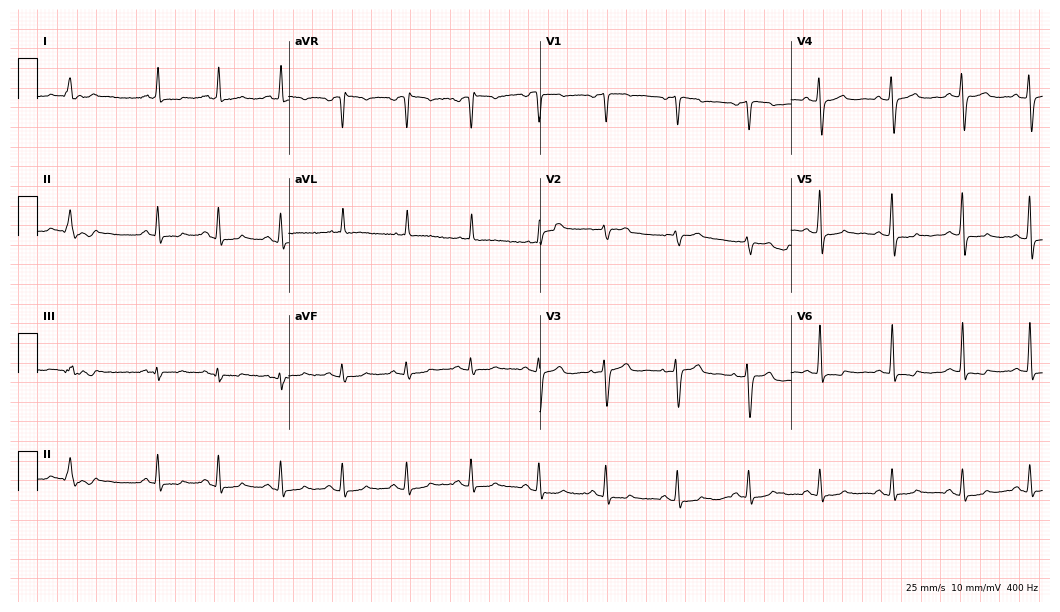
Electrocardiogram (10.2-second recording at 400 Hz), a male patient, 51 years old. Of the six screened findings (first-degree AV block, right bundle branch block (RBBB), left bundle branch block (LBBB), sinus bradycardia, atrial fibrillation (AF), sinus tachycardia), none is recorded.